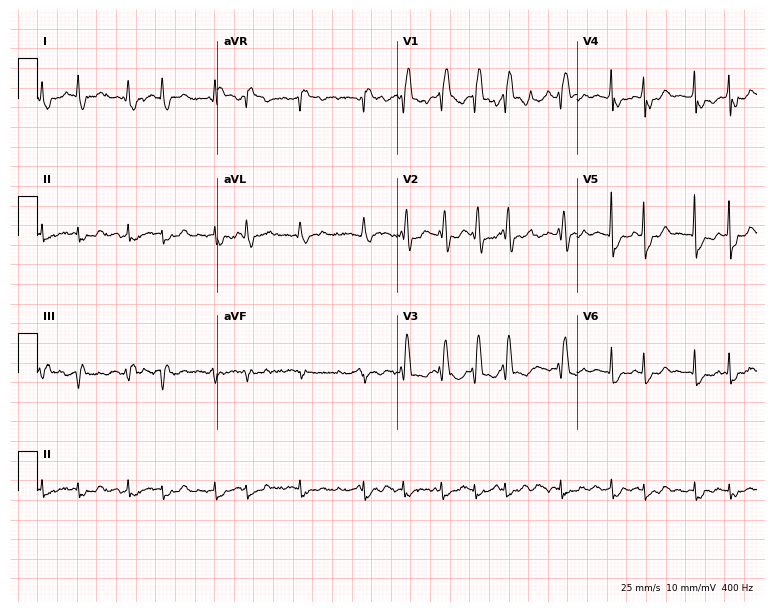
Electrocardiogram, a female patient, 85 years old. Of the six screened findings (first-degree AV block, right bundle branch block (RBBB), left bundle branch block (LBBB), sinus bradycardia, atrial fibrillation (AF), sinus tachycardia), none is recorded. Only these six findings were labelled.